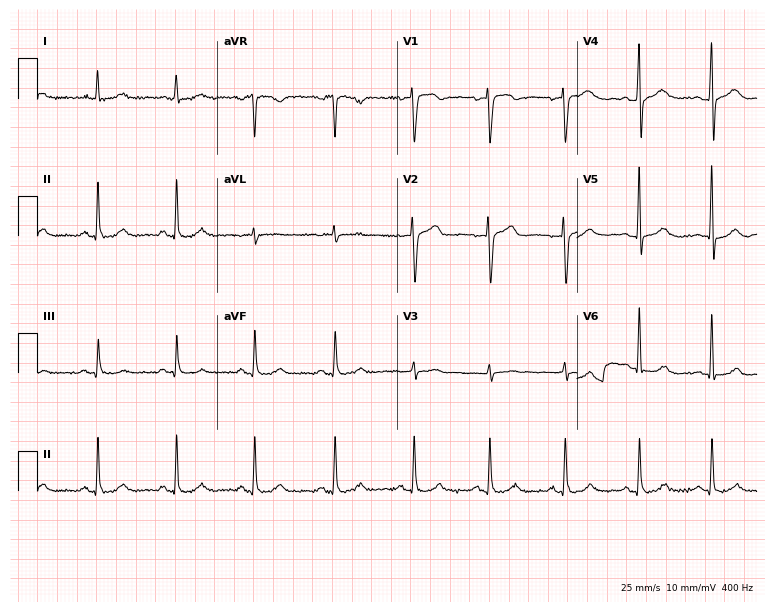
Electrocardiogram (7.3-second recording at 400 Hz), a male patient, 36 years old. Overall reading on record: normal ECG.